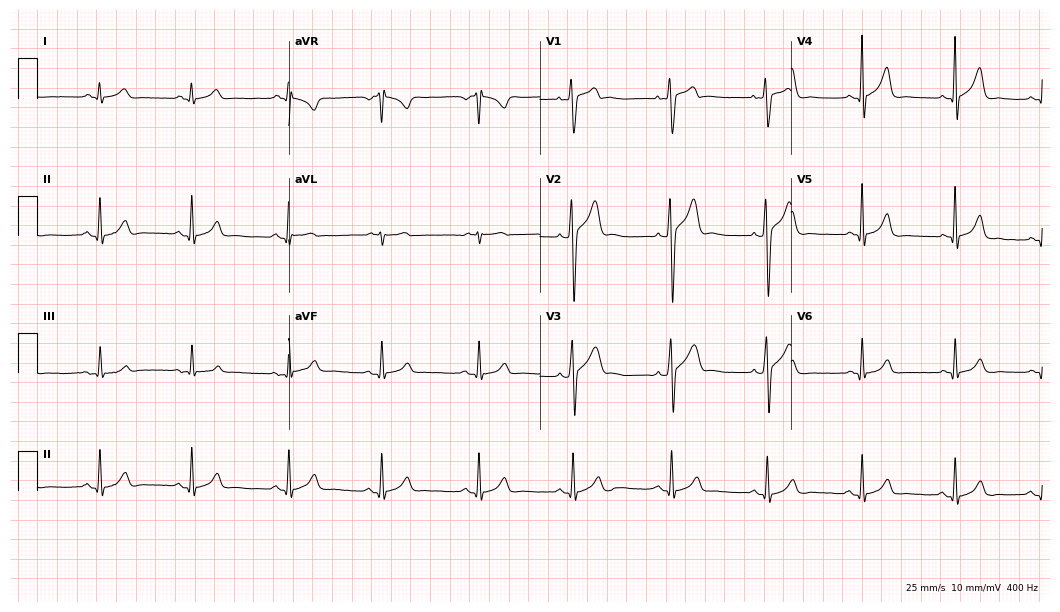
12-lead ECG from a 31-year-old male. Labelled as a normal ECG.